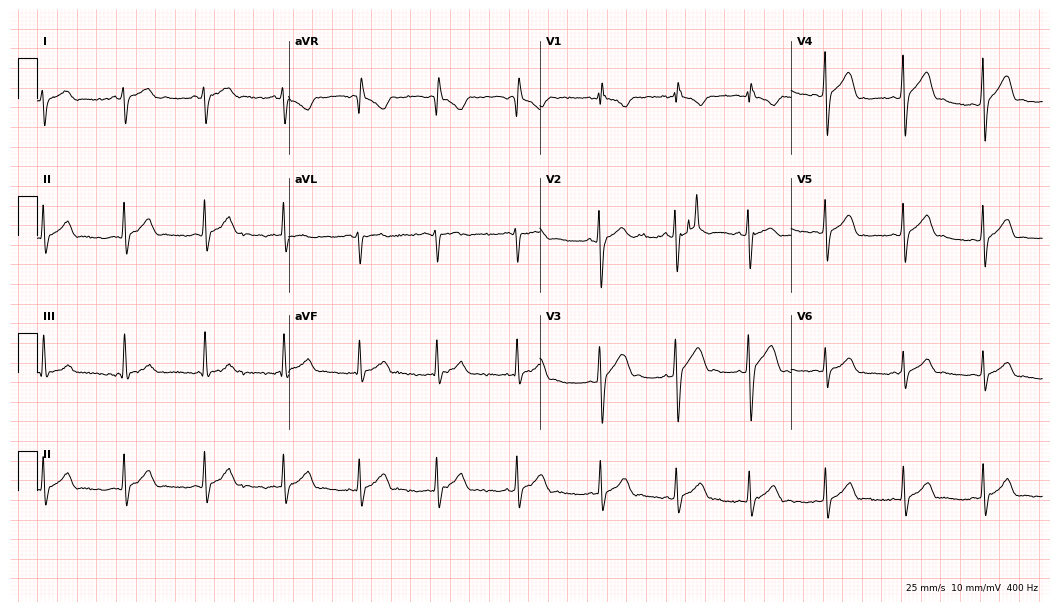
12-lead ECG from a male, 17 years old (10.2-second recording at 400 Hz). Recorded interpretation: within normal limits.